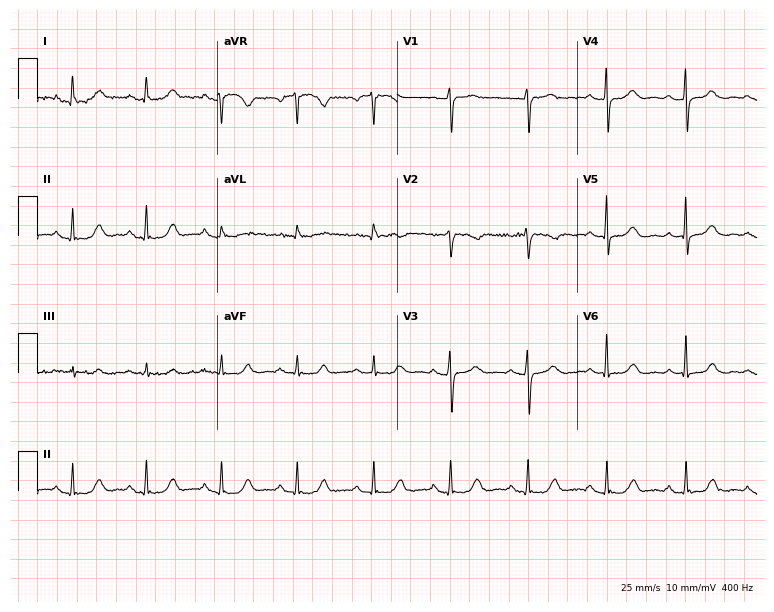
12-lead ECG (7.3-second recording at 400 Hz) from a 65-year-old woman. Labelled as a normal ECG.